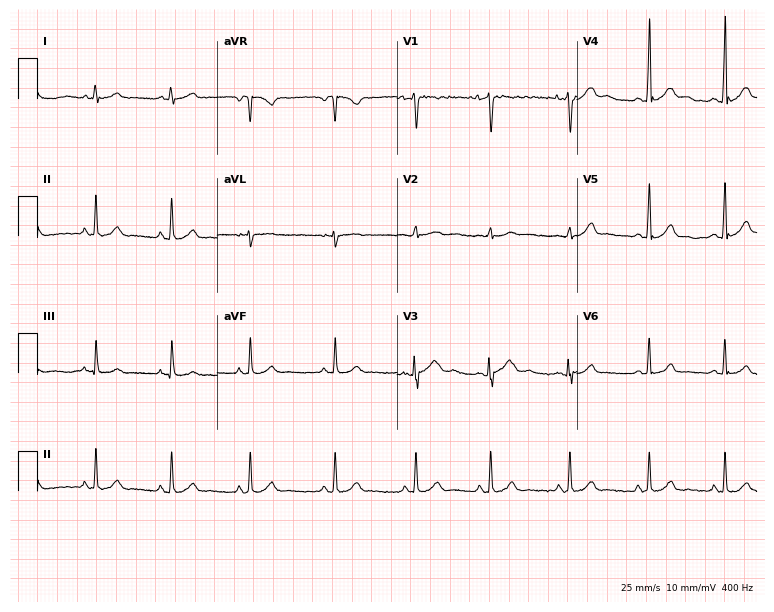
12-lead ECG (7.3-second recording at 400 Hz) from a female patient, 18 years old. Labelled as a normal ECG.